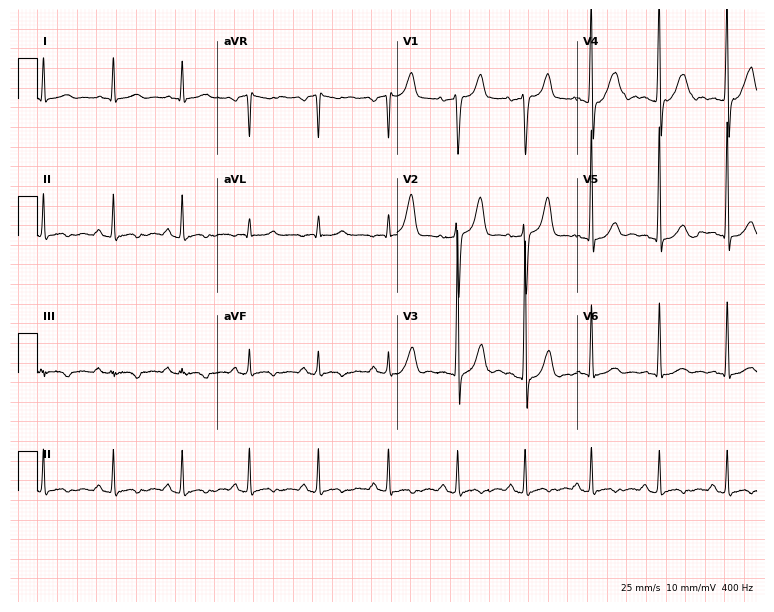
ECG — a 34-year-old male. Screened for six findings — first-degree AV block, right bundle branch block, left bundle branch block, sinus bradycardia, atrial fibrillation, sinus tachycardia — none is recorded. Only these six findings were labelled.